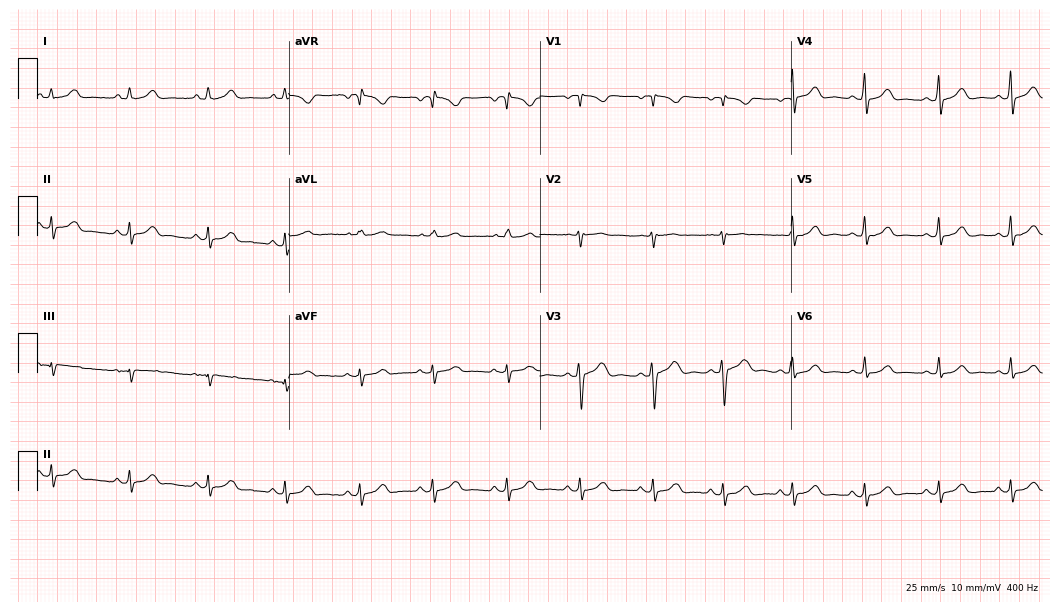
Resting 12-lead electrocardiogram. Patient: a female, 42 years old. Read as a normal ECG.